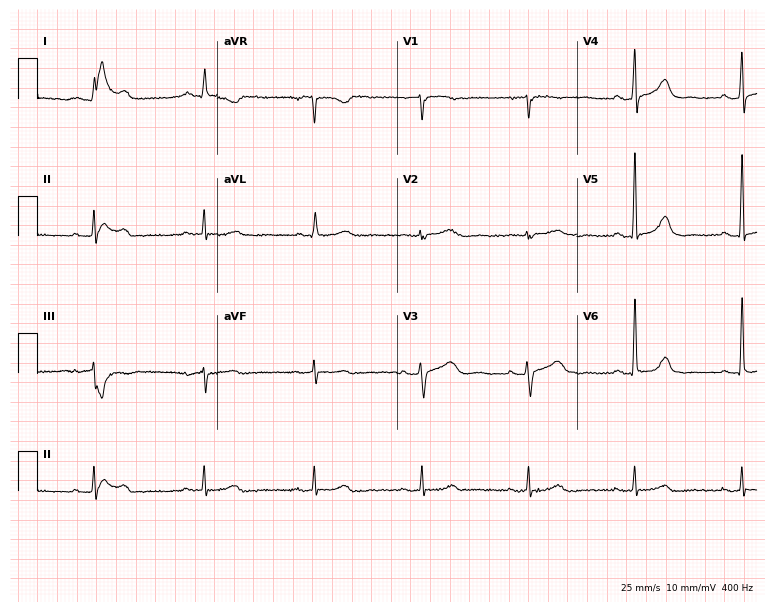
ECG — a 73-year-old woman. Labelled as a normal ECG.